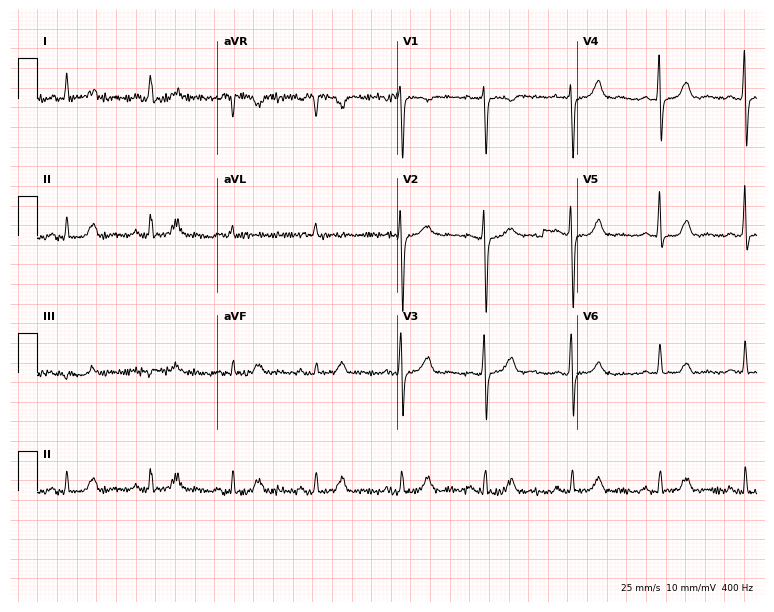
12-lead ECG (7.3-second recording at 400 Hz) from a female patient, 65 years old. Screened for six findings — first-degree AV block, right bundle branch block (RBBB), left bundle branch block (LBBB), sinus bradycardia, atrial fibrillation (AF), sinus tachycardia — none is recorded.